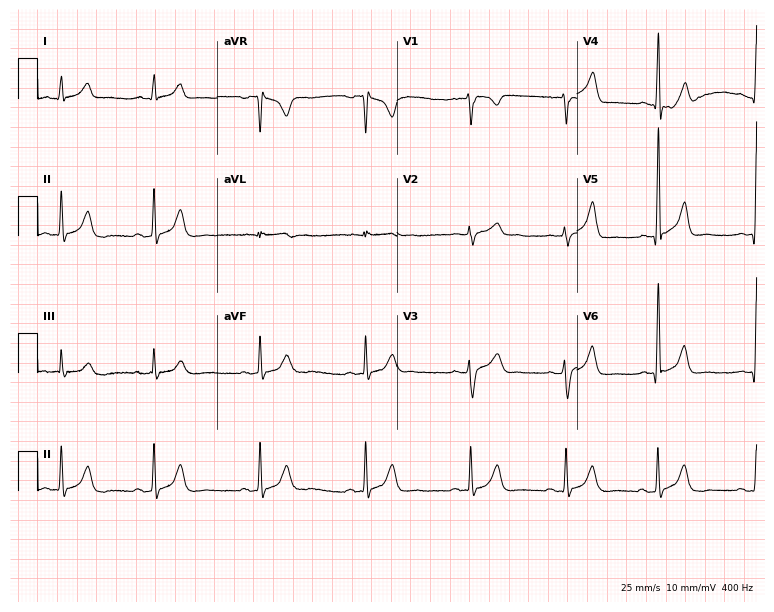
Electrocardiogram, a 41-year-old male patient. Overall reading on record: normal ECG.